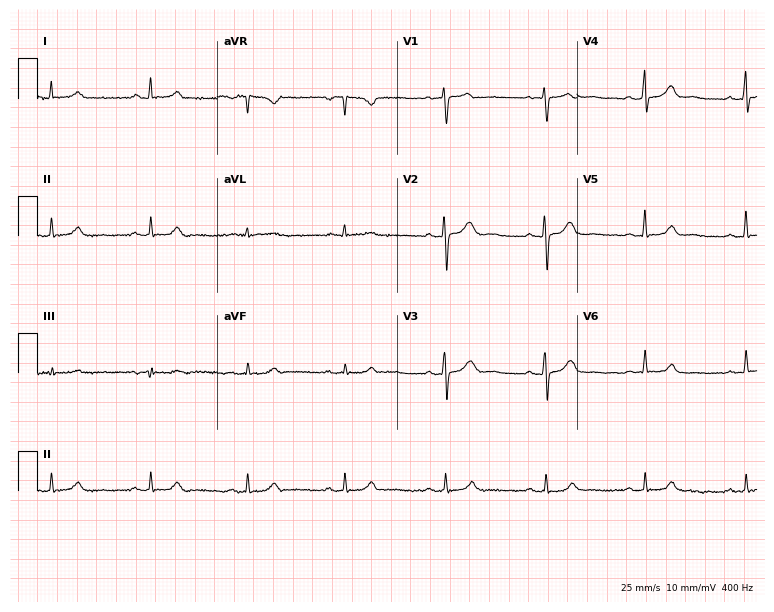
Standard 12-lead ECG recorded from a 44-year-old woman (7.3-second recording at 400 Hz). Read as a normal ECG.